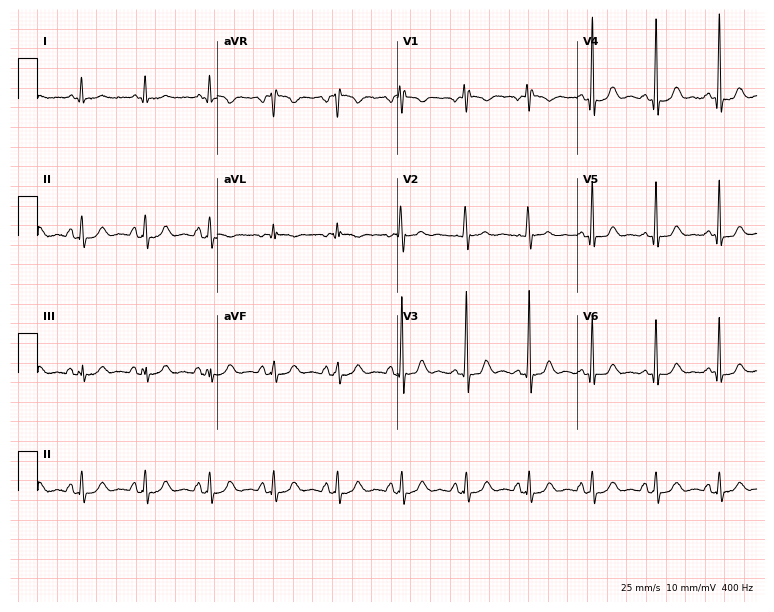
Resting 12-lead electrocardiogram. Patient: a man, 40 years old. None of these six findings is recorded: first-degree AV block, right bundle branch block, left bundle branch block, sinus bradycardia, atrial fibrillation, sinus tachycardia. Other findings, if any, are not listed.